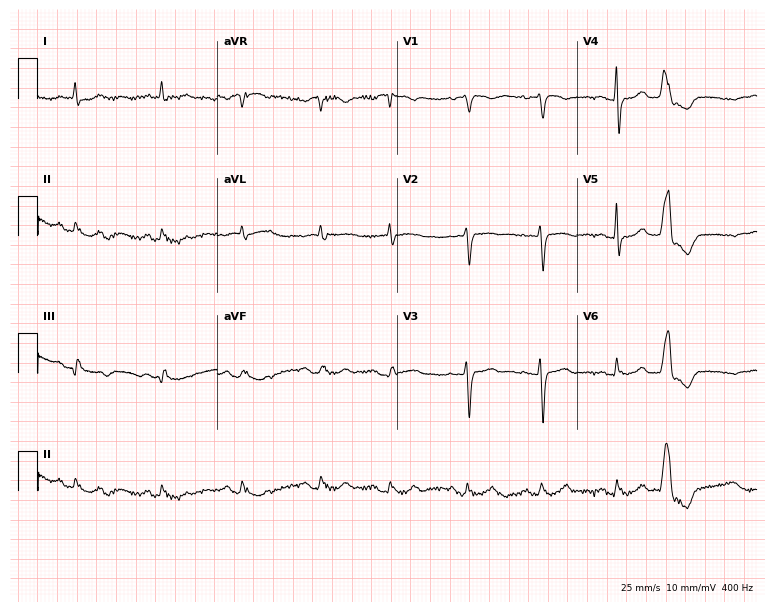
12-lead ECG (7.3-second recording at 400 Hz) from a 75-year-old female. Screened for six findings — first-degree AV block, right bundle branch block, left bundle branch block, sinus bradycardia, atrial fibrillation, sinus tachycardia — none is recorded.